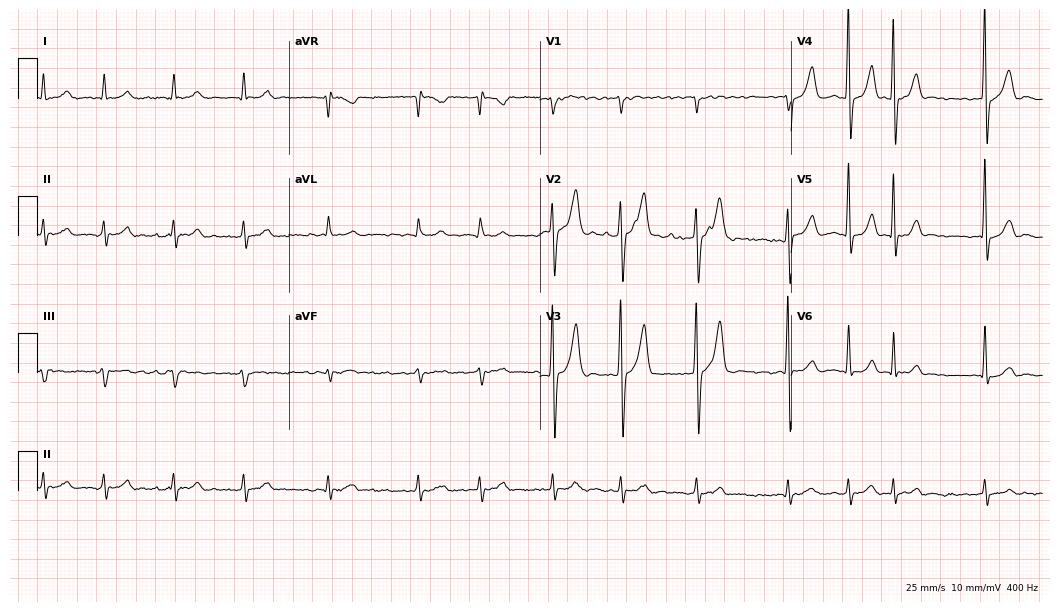
12-lead ECG (10.2-second recording at 400 Hz) from a 76-year-old male patient. Findings include atrial fibrillation.